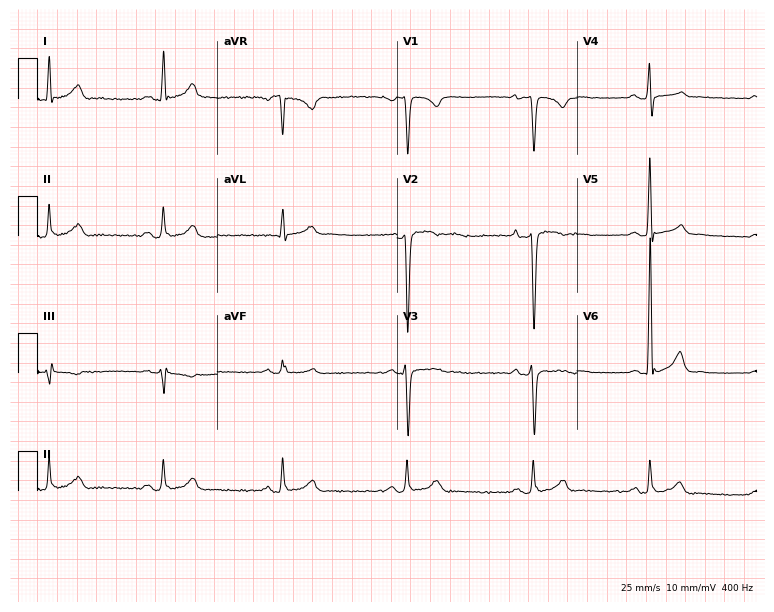
Resting 12-lead electrocardiogram. Patient: a 45-year-old male. The tracing shows sinus bradycardia (a sinus rate of 50 beats per minute or less).